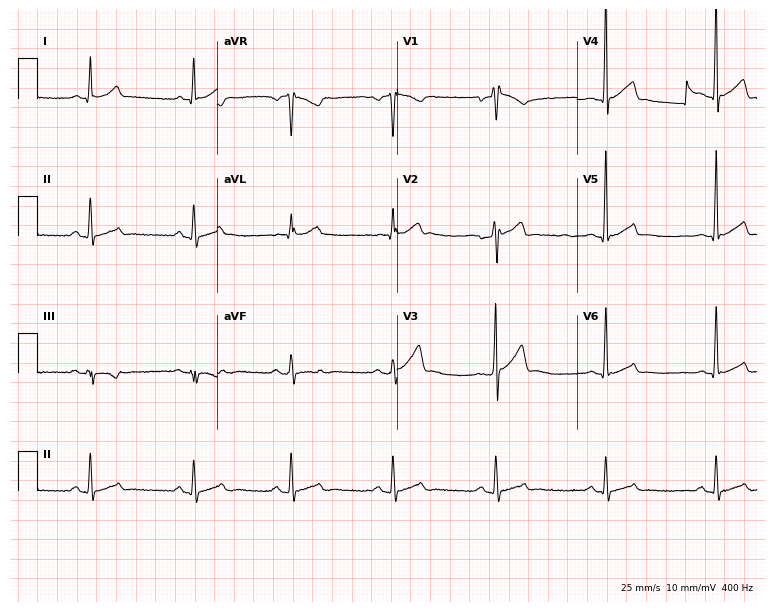
12-lead ECG (7.3-second recording at 400 Hz) from a 33-year-old male patient. Screened for six findings — first-degree AV block, right bundle branch block, left bundle branch block, sinus bradycardia, atrial fibrillation, sinus tachycardia — none is recorded.